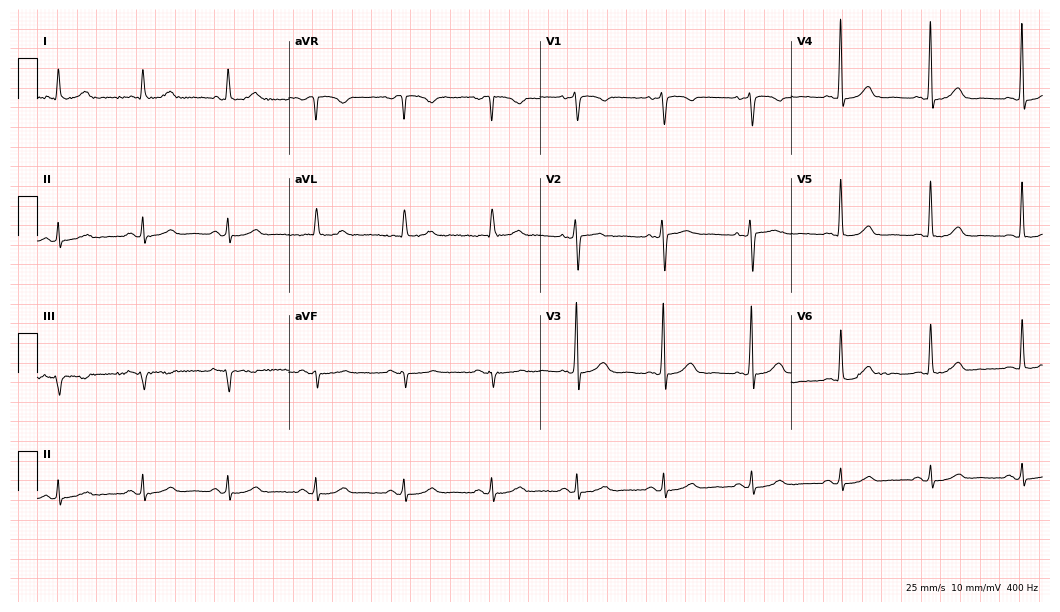
Resting 12-lead electrocardiogram (10.2-second recording at 400 Hz). Patient: a male, 82 years old. Read as a normal ECG.